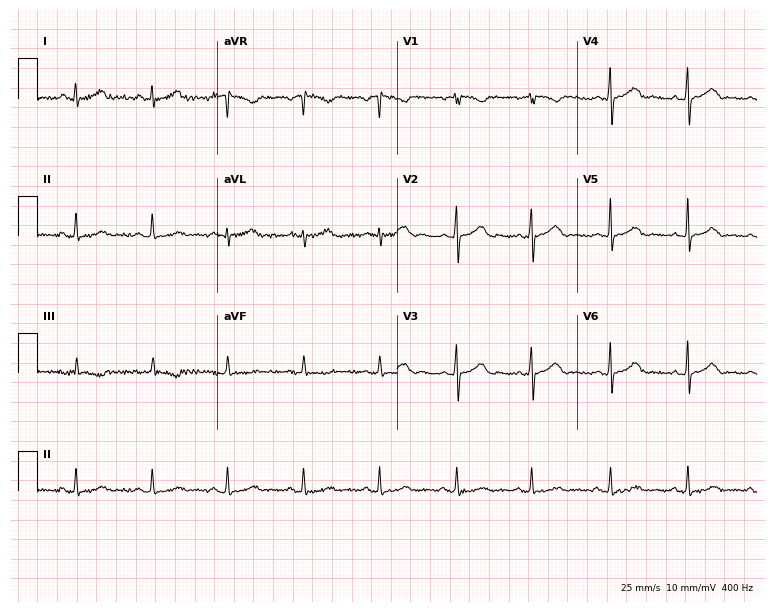
12-lead ECG from an 18-year-old female. No first-degree AV block, right bundle branch block (RBBB), left bundle branch block (LBBB), sinus bradycardia, atrial fibrillation (AF) or sinus tachycardia recorded for this tracing.